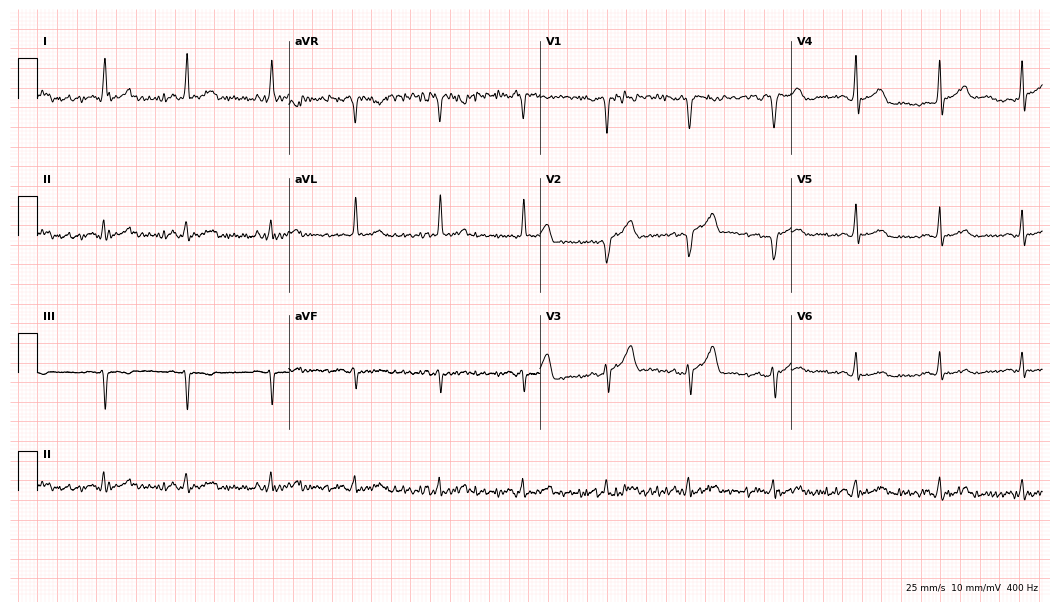
Electrocardiogram (10.2-second recording at 400 Hz), a man, 74 years old. Of the six screened findings (first-degree AV block, right bundle branch block (RBBB), left bundle branch block (LBBB), sinus bradycardia, atrial fibrillation (AF), sinus tachycardia), none is recorded. Other findings, if any, are not listed.